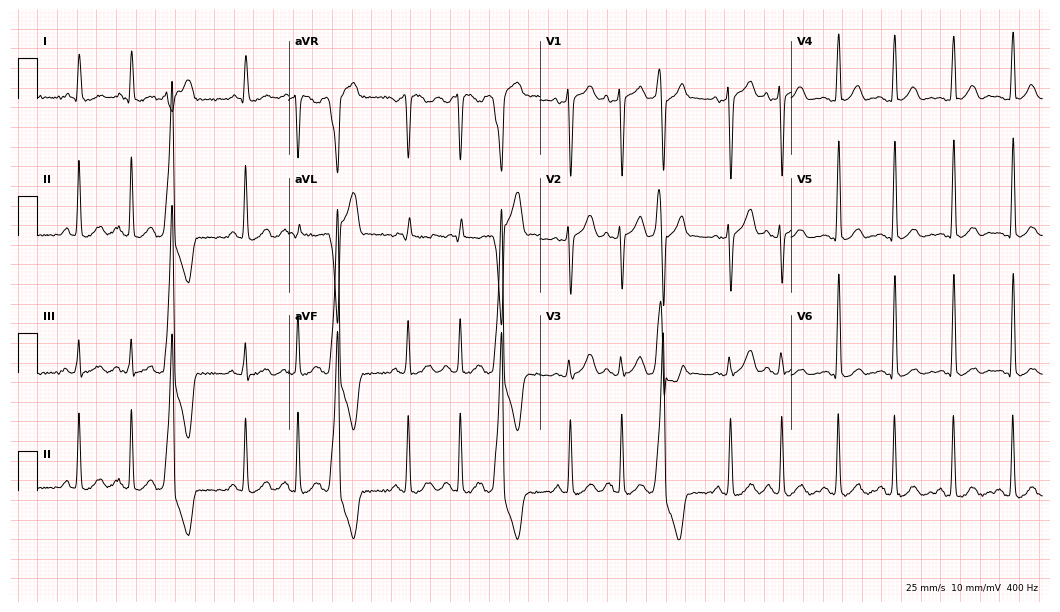
Electrocardiogram, a male patient, 30 years old. Interpretation includes sinus tachycardia (a sinus rate of 100 beats per minute or more).